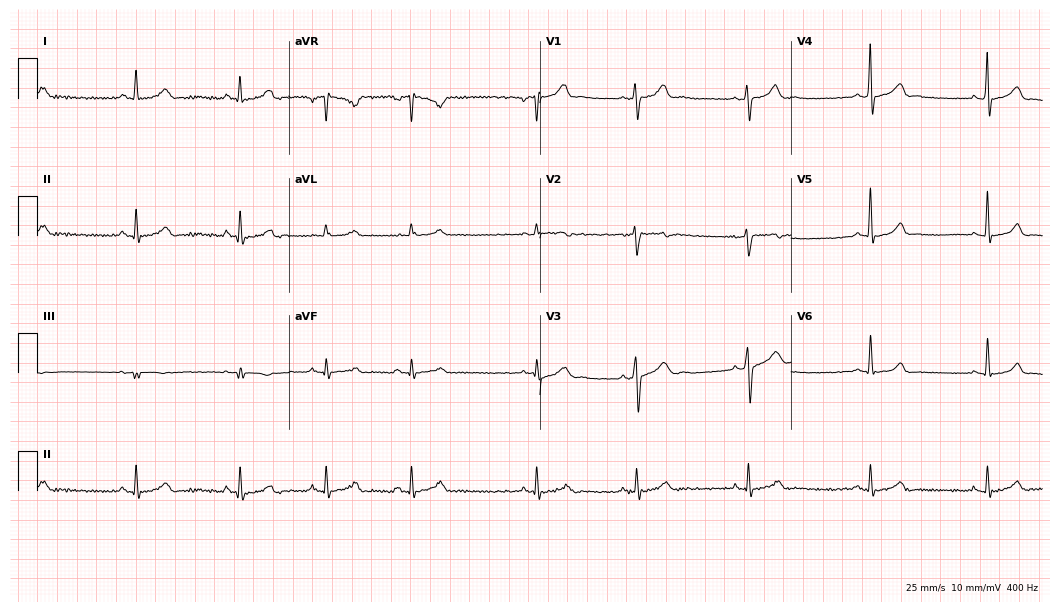
ECG (10.2-second recording at 400 Hz) — a 28-year-old male. Labelled as a normal ECG.